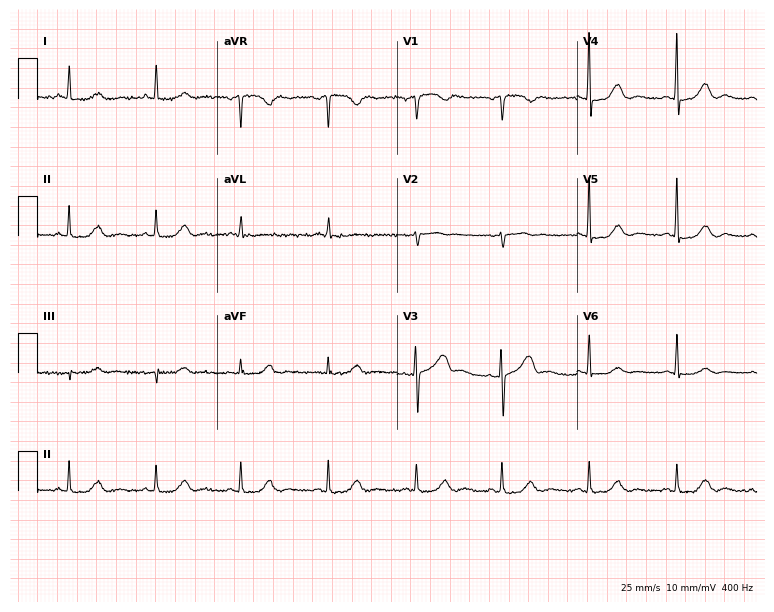
12-lead ECG from a woman, 85 years old. No first-degree AV block, right bundle branch block, left bundle branch block, sinus bradycardia, atrial fibrillation or sinus tachycardia recorded for this tracing.